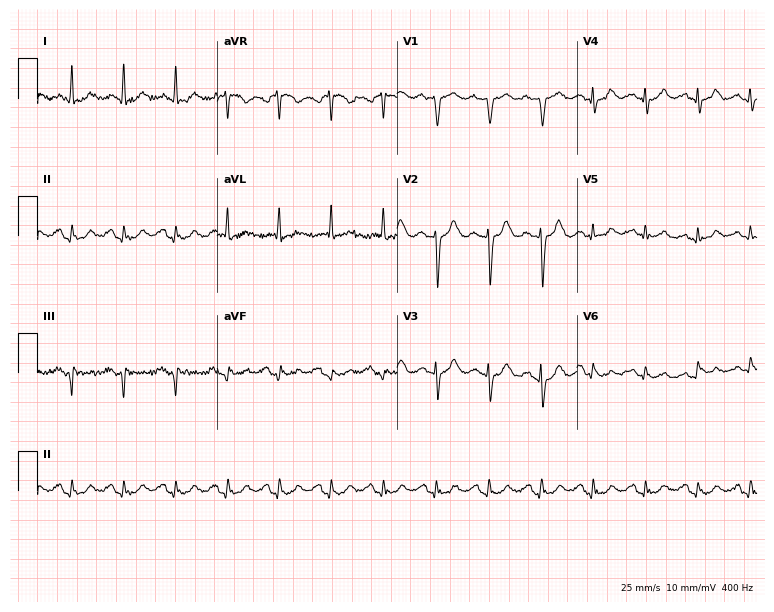
Resting 12-lead electrocardiogram. Patient: a man, 69 years old. The tracing shows sinus tachycardia (a sinus rate of 100 beats per minute or more).